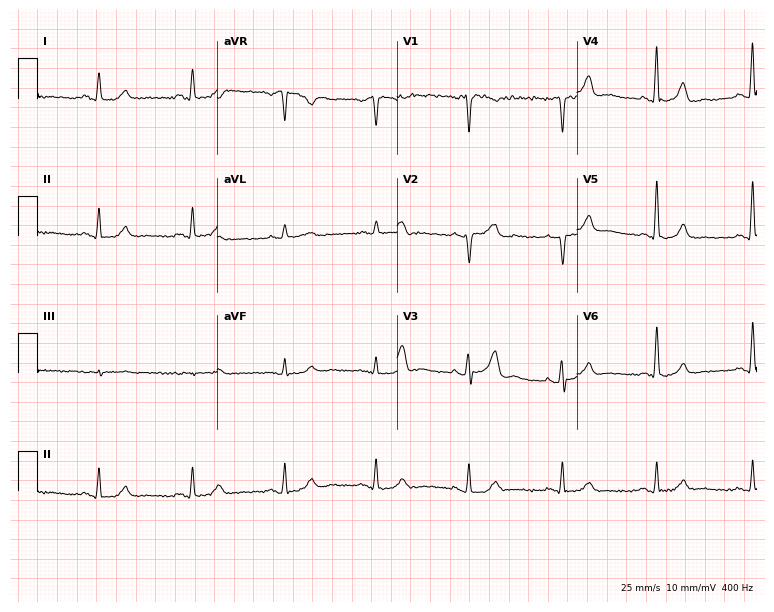
Resting 12-lead electrocardiogram. Patient: a 62-year-old man. None of these six findings is recorded: first-degree AV block, right bundle branch block, left bundle branch block, sinus bradycardia, atrial fibrillation, sinus tachycardia. Other findings, if any, are not listed.